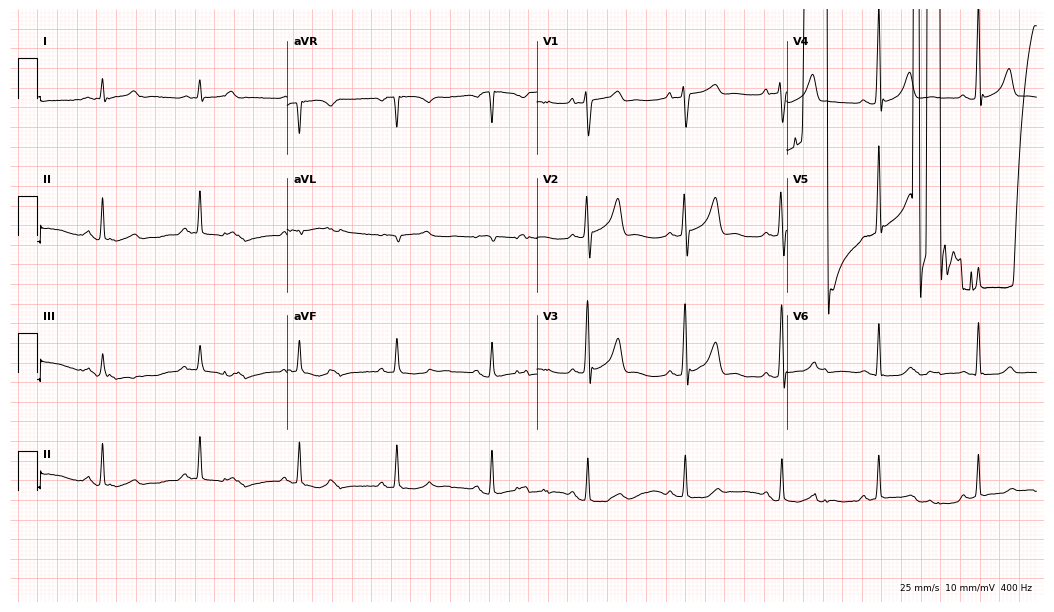
ECG — a male, 69 years old. Screened for six findings — first-degree AV block, right bundle branch block, left bundle branch block, sinus bradycardia, atrial fibrillation, sinus tachycardia — none is recorded. Other findings, if any, are not listed.